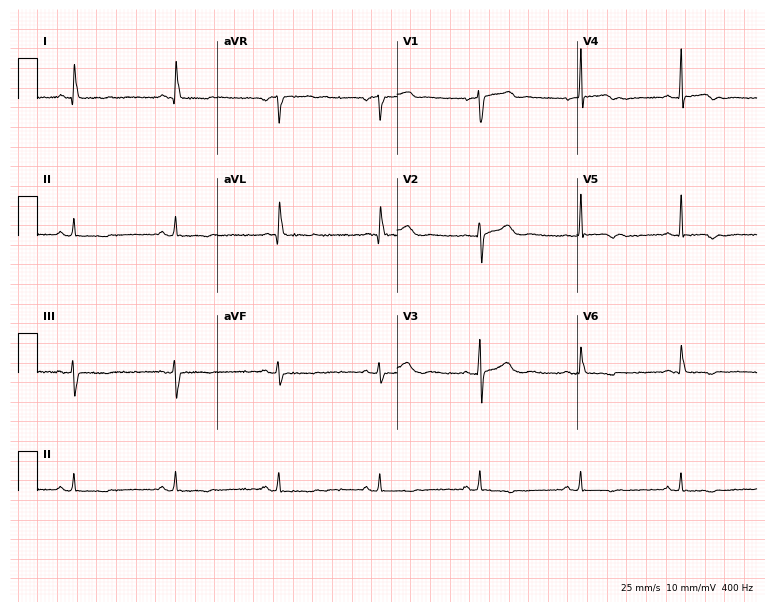
12-lead ECG from a male, 52 years old (7.3-second recording at 400 Hz). No first-degree AV block, right bundle branch block, left bundle branch block, sinus bradycardia, atrial fibrillation or sinus tachycardia recorded for this tracing. Other findings, if any, are not listed.